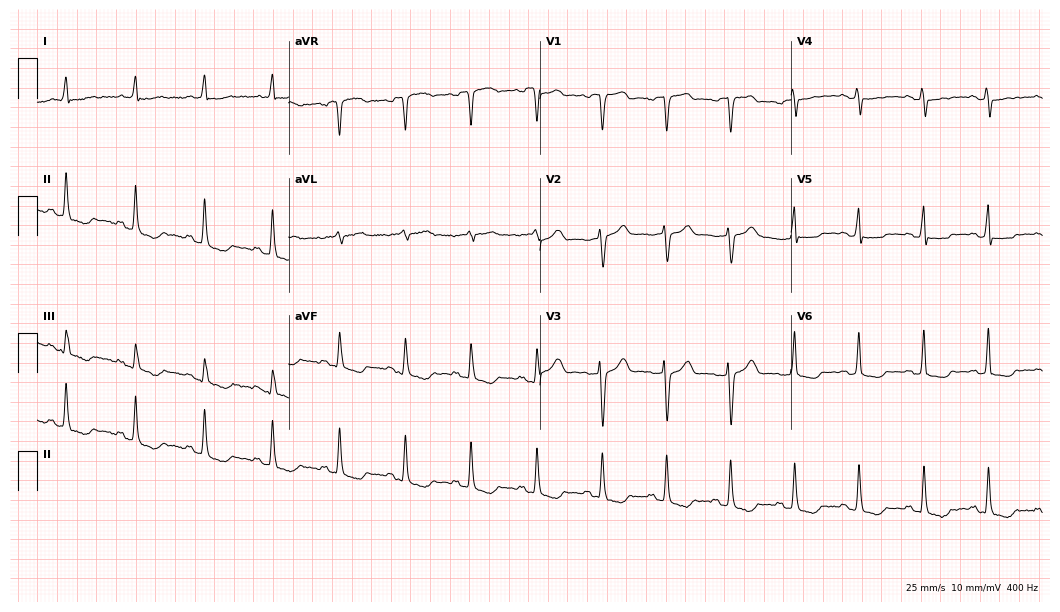
12-lead ECG from a female, 57 years old (10.2-second recording at 400 Hz). No first-degree AV block, right bundle branch block, left bundle branch block, sinus bradycardia, atrial fibrillation or sinus tachycardia recorded for this tracing. Other findings, if any, are not listed.